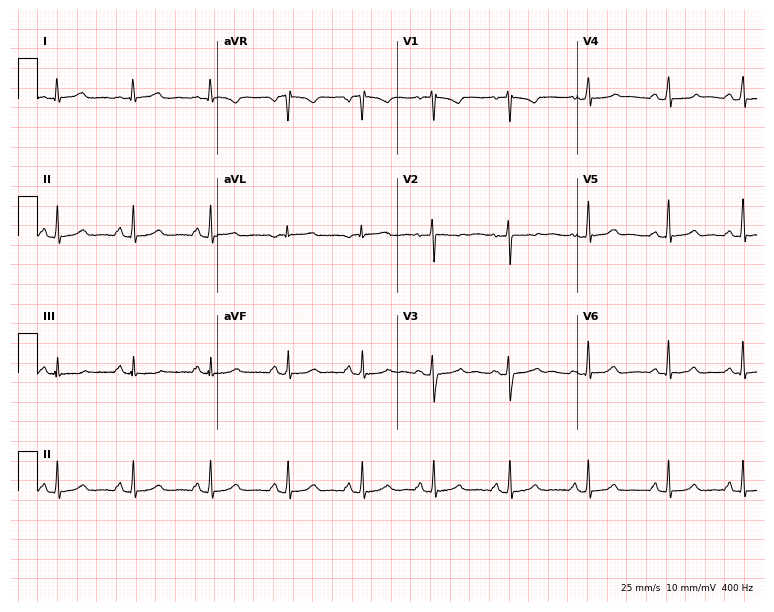
ECG (7.3-second recording at 400 Hz) — a 19-year-old female. Labelled as a normal ECG.